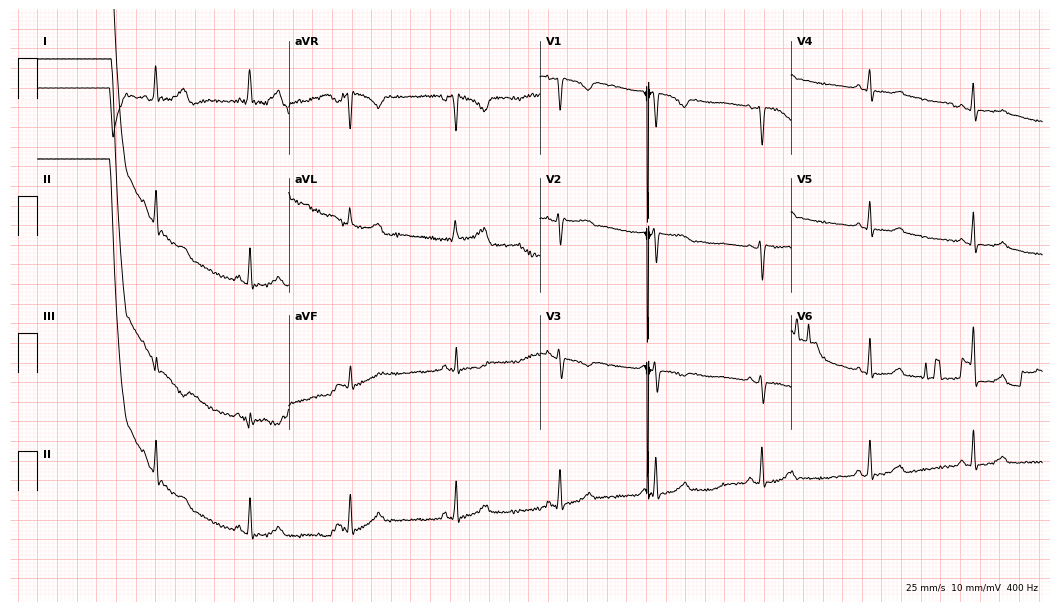
12-lead ECG from a 29-year-old female. No first-degree AV block, right bundle branch block, left bundle branch block, sinus bradycardia, atrial fibrillation or sinus tachycardia recorded for this tracing.